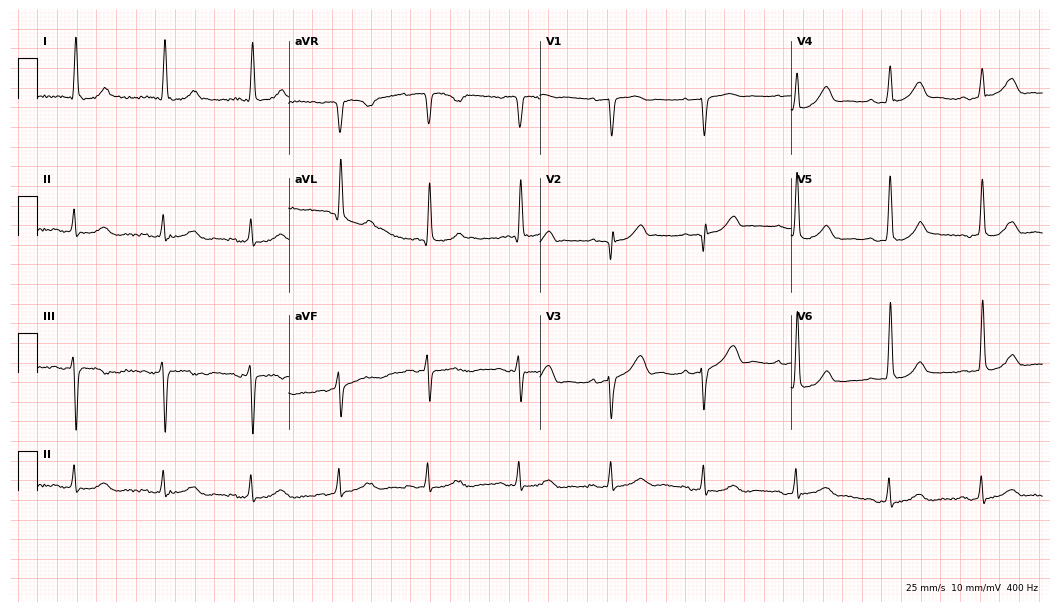
Standard 12-lead ECG recorded from an 81-year-old woman. None of these six findings is recorded: first-degree AV block, right bundle branch block, left bundle branch block, sinus bradycardia, atrial fibrillation, sinus tachycardia. Other findings, if any, are not listed.